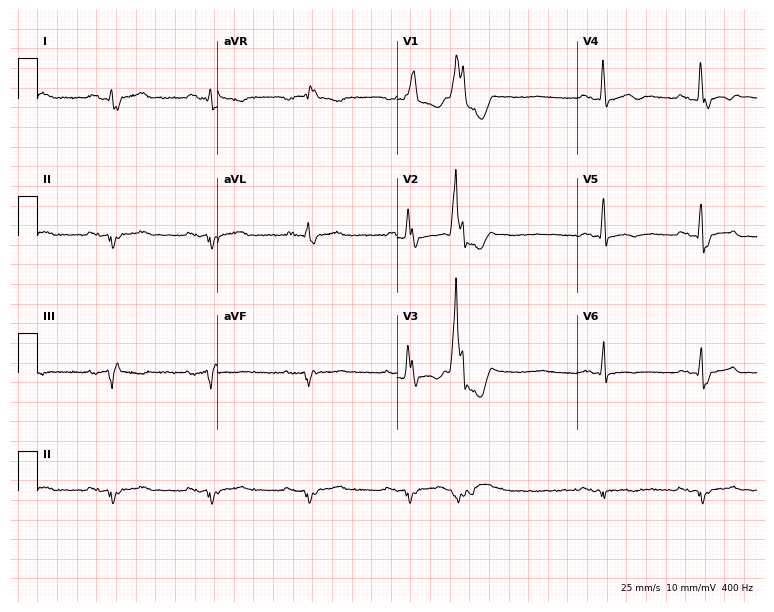
12-lead ECG from a man, 77 years old (7.3-second recording at 400 Hz). Shows first-degree AV block, atrial fibrillation (AF).